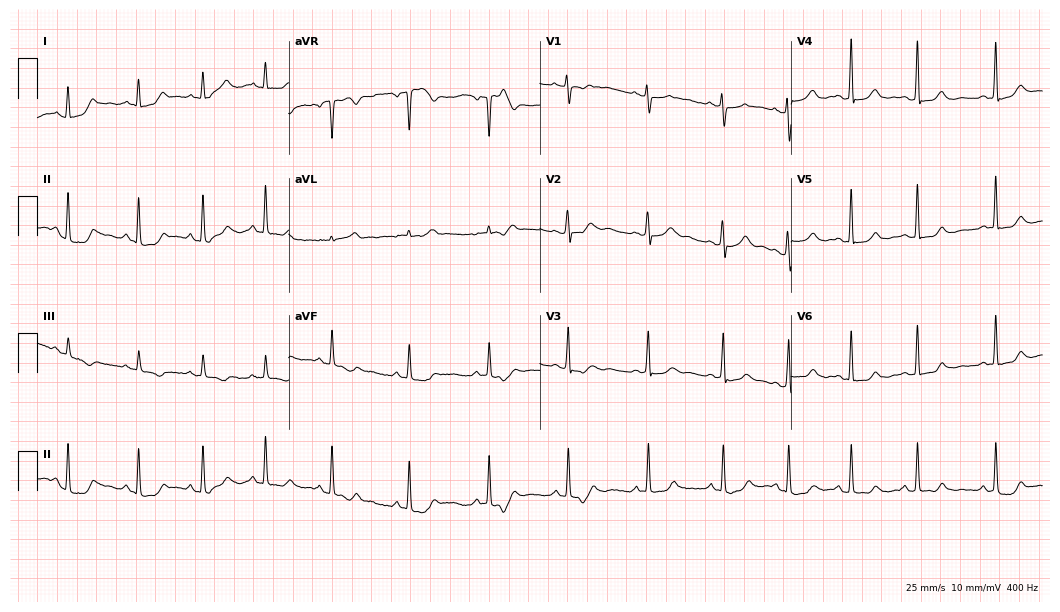
Electrocardiogram (10.2-second recording at 400 Hz), a 39-year-old woman. Overall reading on record: normal ECG.